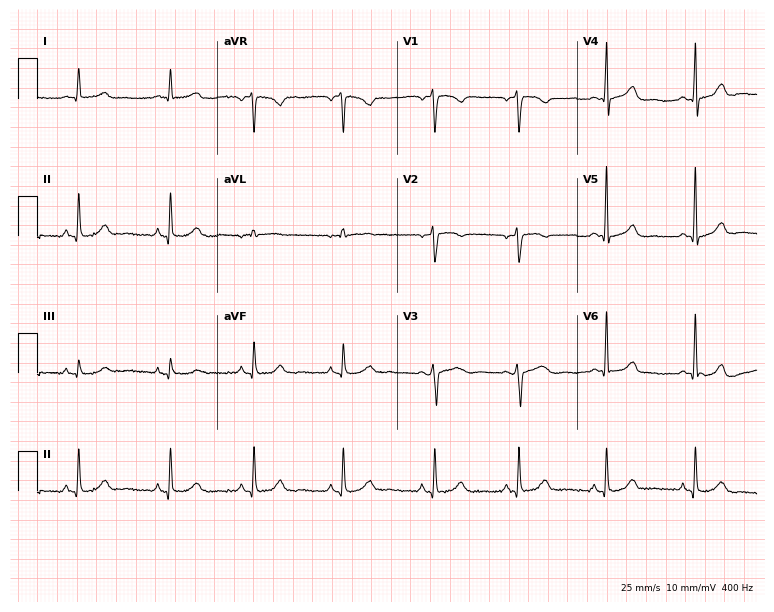
Standard 12-lead ECG recorded from a female, 50 years old. Read as a normal ECG.